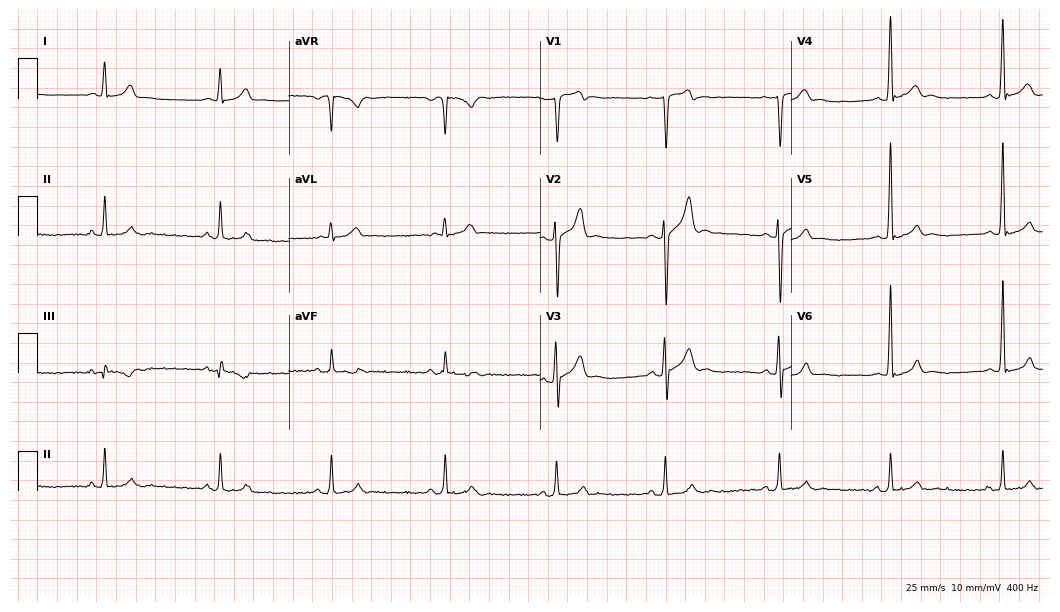
Standard 12-lead ECG recorded from a male, 25 years old (10.2-second recording at 400 Hz). None of these six findings is recorded: first-degree AV block, right bundle branch block, left bundle branch block, sinus bradycardia, atrial fibrillation, sinus tachycardia. Other findings, if any, are not listed.